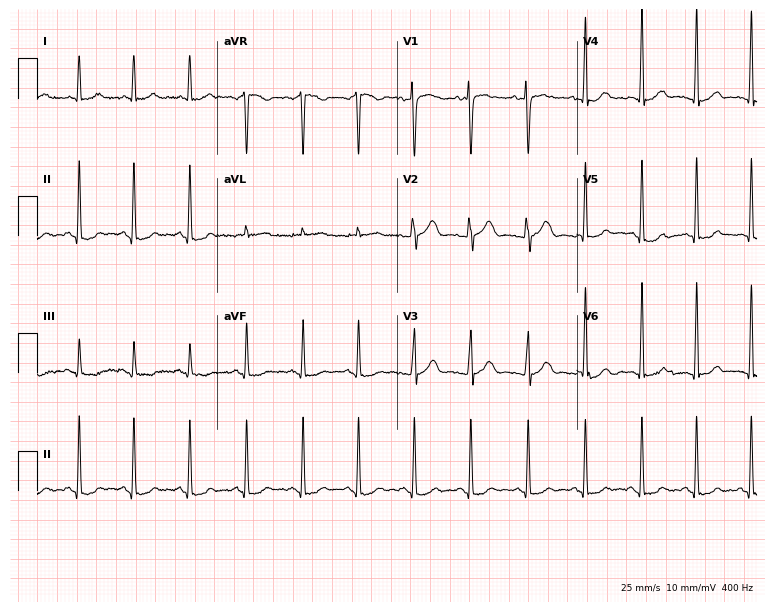
Standard 12-lead ECG recorded from a 40-year-old female patient (7.3-second recording at 400 Hz). The tracing shows sinus tachycardia (a sinus rate of 100 beats per minute or more).